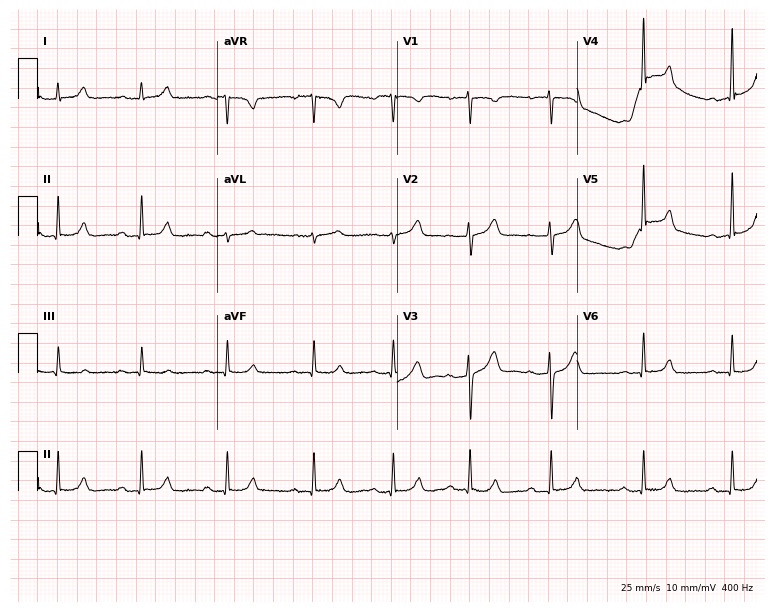
Standard 12-lead ECG recorded from a female patient, 35 years old. Read as a normal ECG.